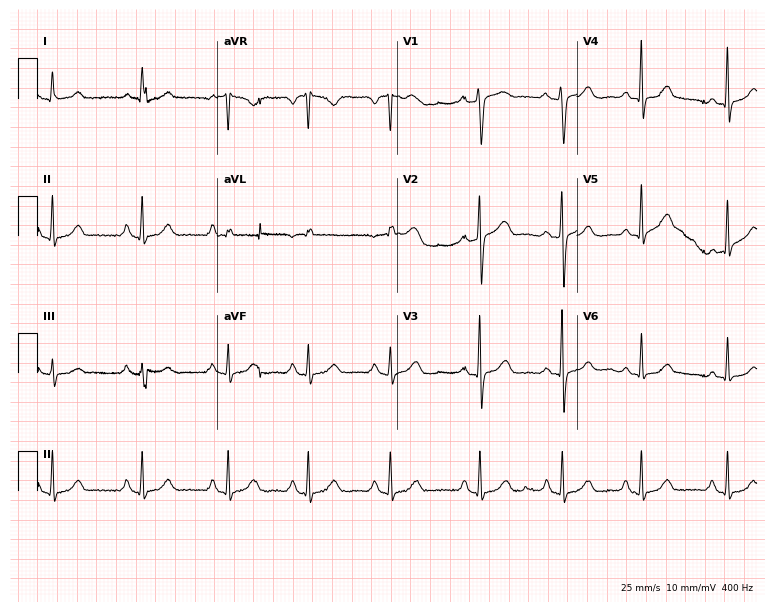
12-lead ECG from a man, 40 years old. Recorded interpretation: within normal limits.